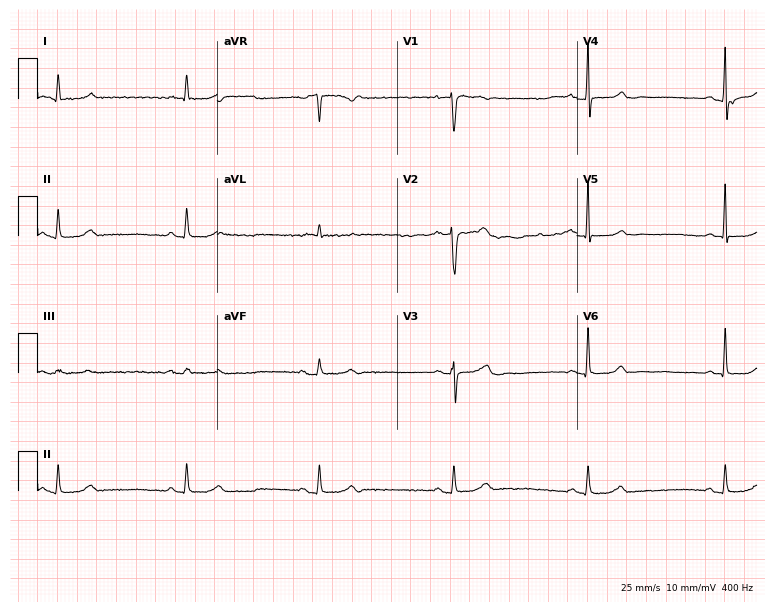
ECG (7.3-second recording at 400 Hz) — a female patient, 70 years old. Findings include sinus bradycardia (a sinus rate of 50 beats per minute or less).